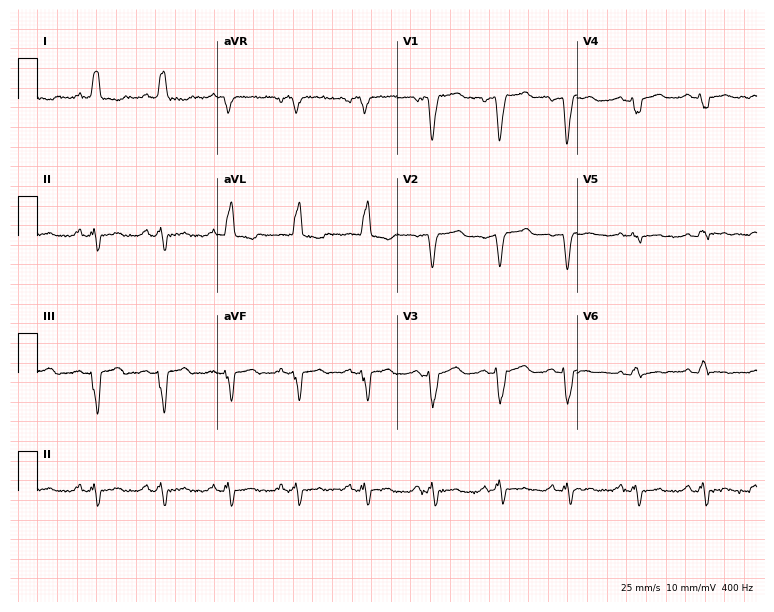
ECG — a woman, 72 years old. Findings include left bundle branch block.